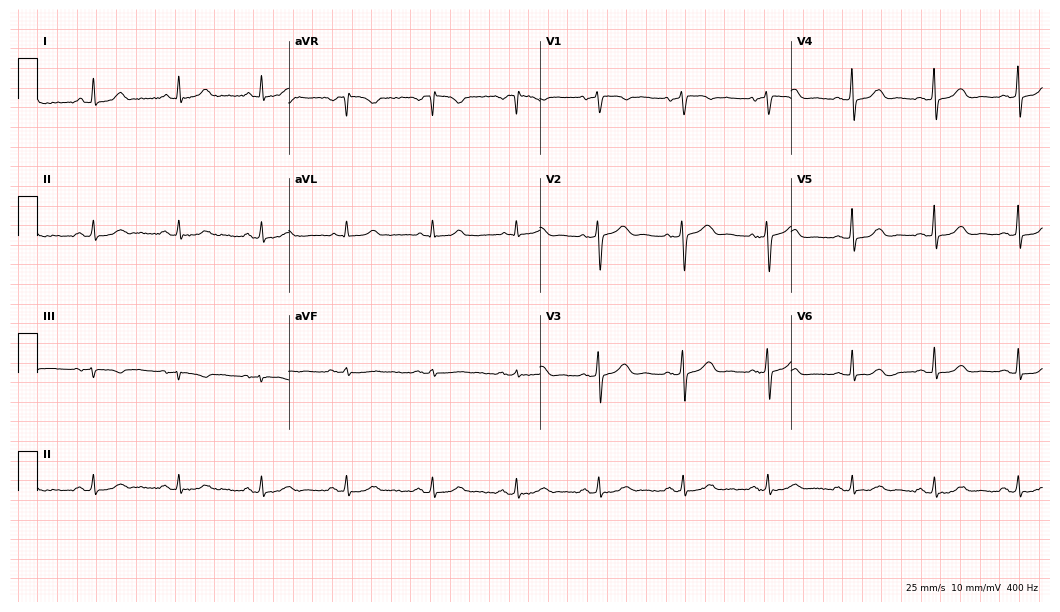
12-lead ECG from a 61-year-old woman. Screened for six findings — first-degree AV block, right bundle branch block, left bundle branch block, sinus bradycardia, atrial fibrillation, sinus tachycardia — none is recorded. Findings outside these six are not listed.